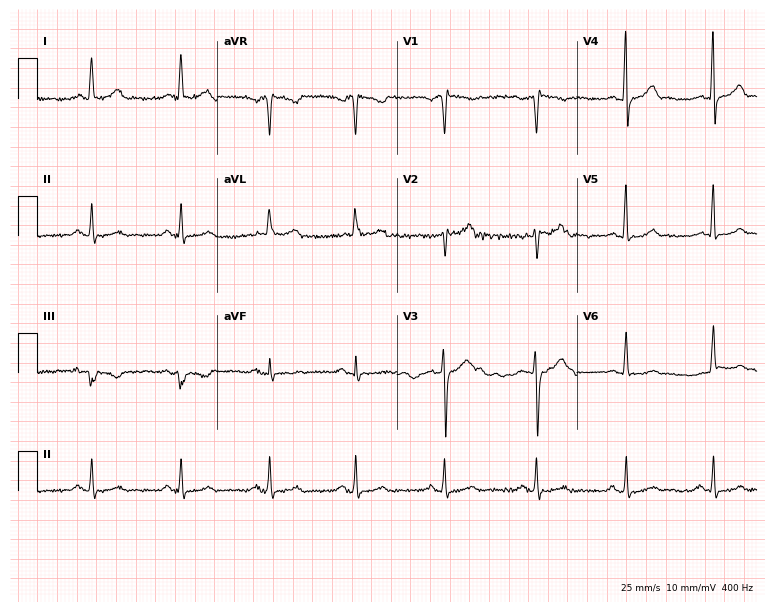
ECG (7.3-second recording at 400 Hz) — a male, 44 years old. Labelled as a normal ECG.